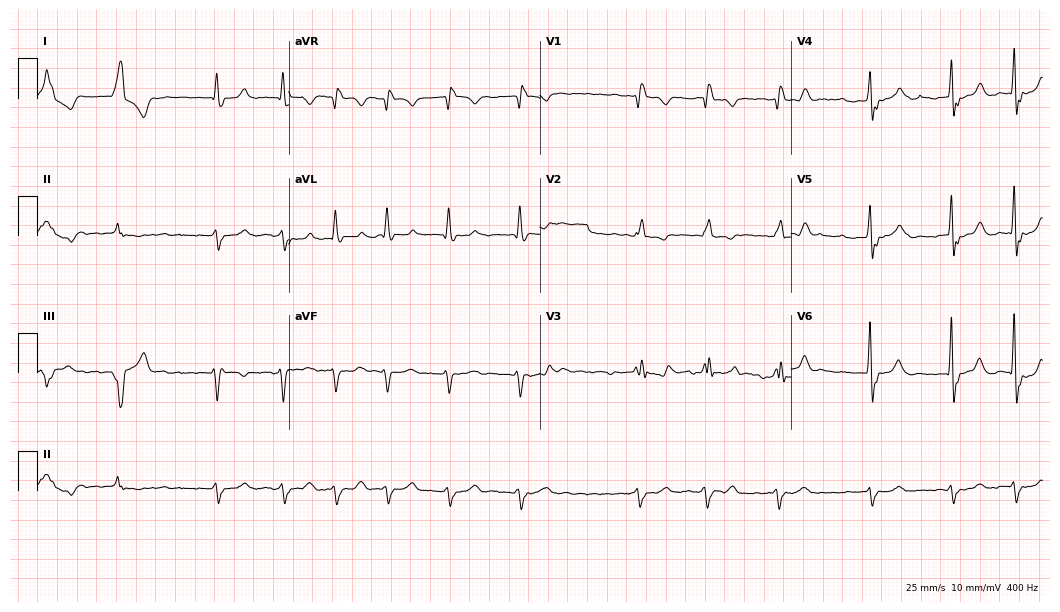
Standard 12-lead ECG recorded from an 81-year-old male (10.2-second recording at 400 Hz). The tracing shows right bundle branch block (RBBB), atrial fibrillation (AF).